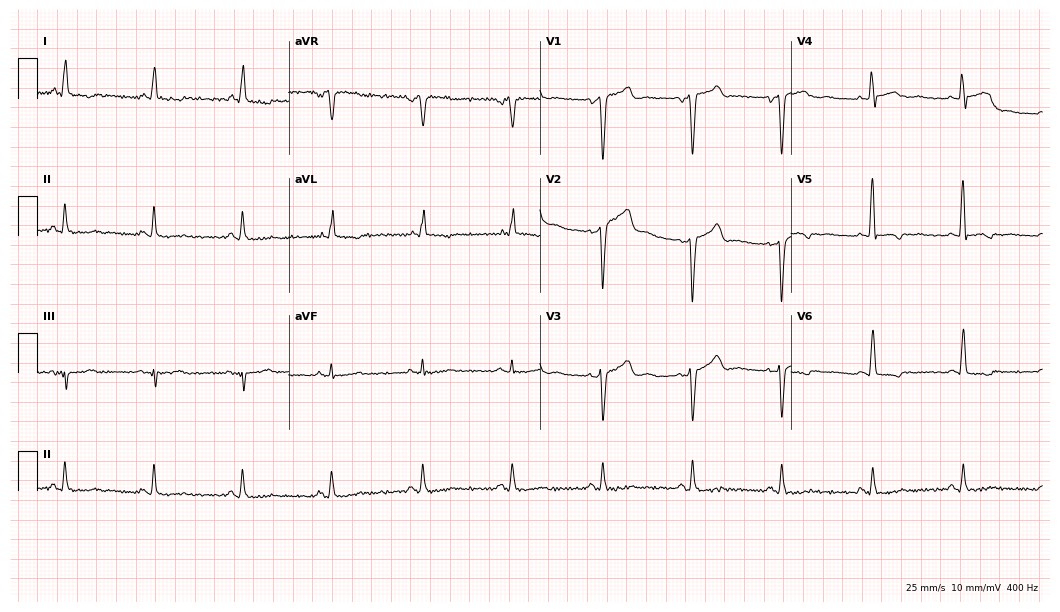
Resting 12-lead electrocardiogram (10.2-second recording at 400 Hz). Patient: a 59-year-old man. None of these six findings is recorded: first-degree AV block, right bundle branch block, left bundle branch block, sinus bradycardia, atrial fibrillation, sinus tachycardia.